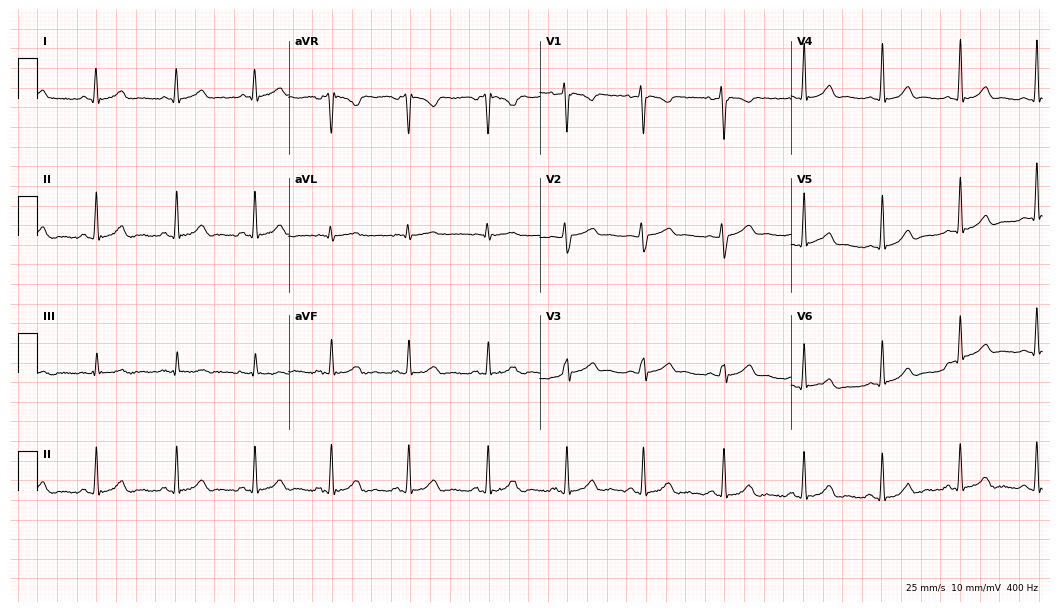
12-lead ECG (10.2-second recording at 400 Hz) from a female patient, 29 years old. Labelled as a normal ECG.